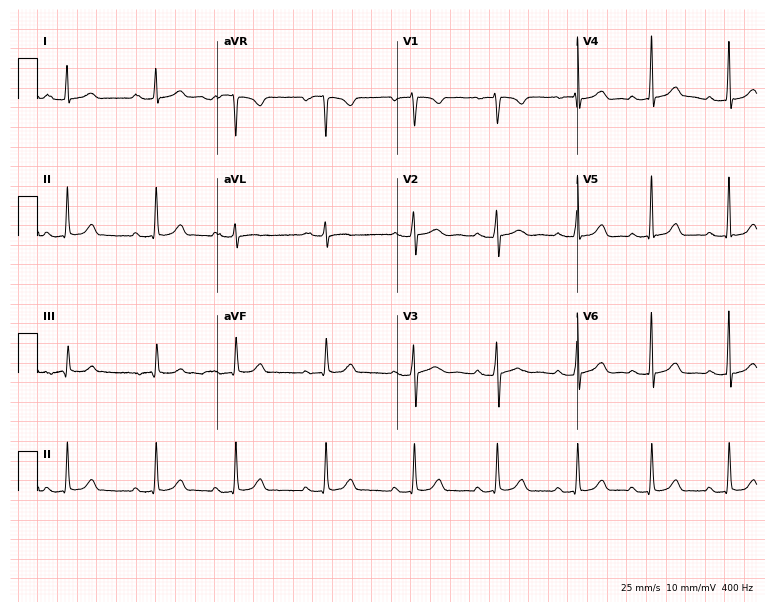
12-lead ECG from a 25-year-old female. Shows first-degree AV block.